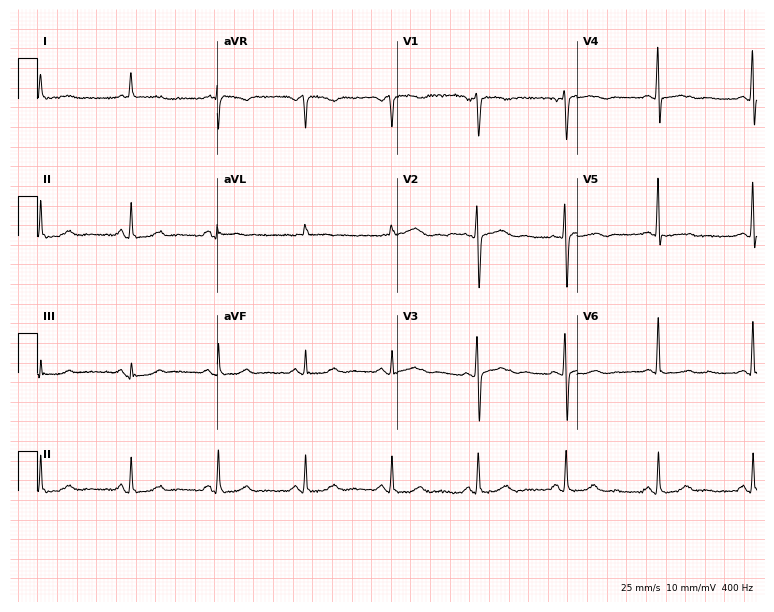
ECG — a female, 61 years old. Labelled as a normal ECG.